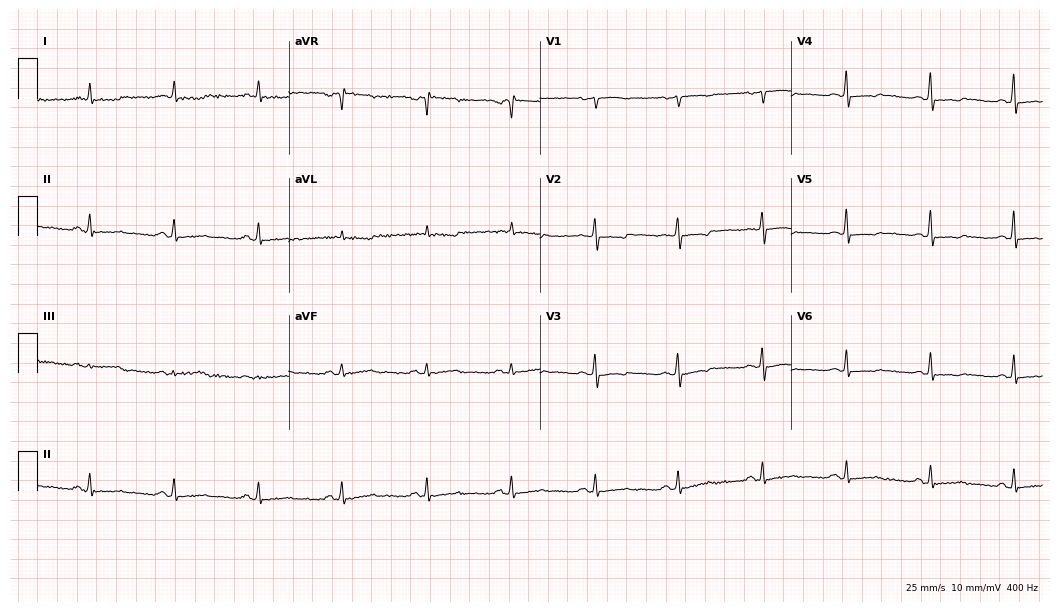
Standard 12-lead ECG recorded from a female, 42 years old (10.2-second recording at 400 Hz). None of these six findings is recorded: first-degree AV block, right bundle branch block, left bundle branch block, sinus bradycardia, atrial fibrillation, sinus tachycardia. Other findings, if any, are not listed.